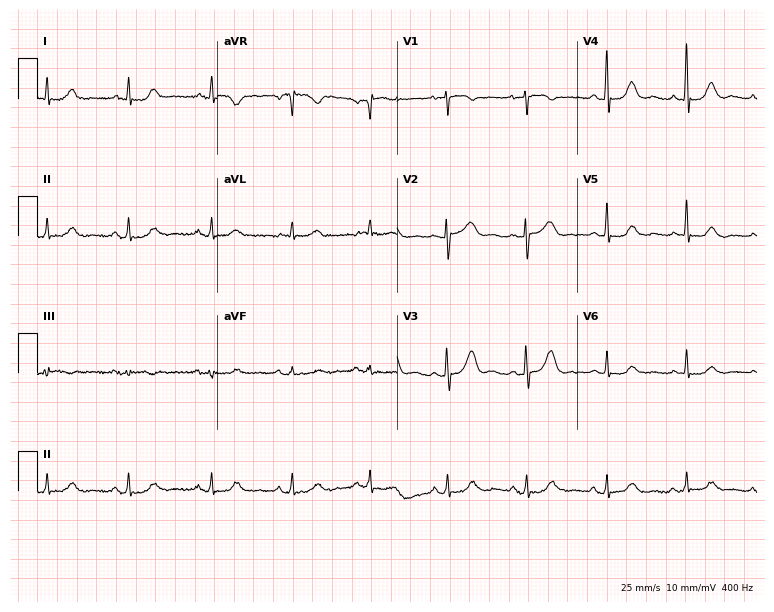
12-lead ECG (7.3-second recording at 400 Hz) from a female, 61 years old. Screened for six findings — first-degree AV block, right bundle branch block, left bundle branch block, sinus bradycardia, atrial fibrillation, sinus tachycardia — none is recorded. Only these six findings were labelled.